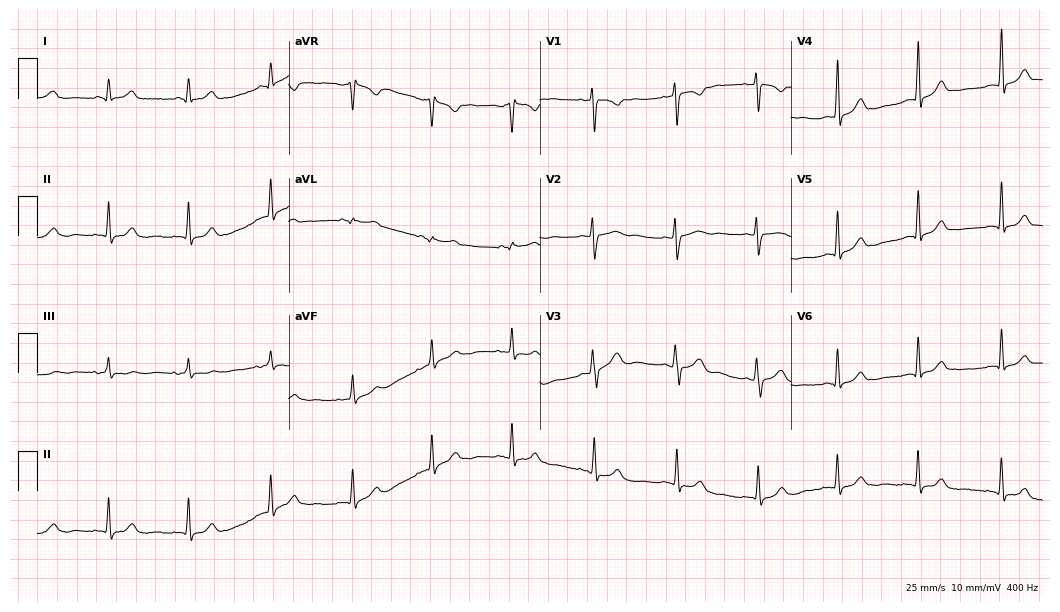
Resting 12-lead electrocardiogram (10.2-second recording at 400 Hz). Patient: a female, 38 years old. None of these six findings is recorded: first-degree AV block, right bundle branch block, left bundle branch block, sinus bradycardia, atrial fibrillation, sinus tachycardia. Findings outside these six are not listed.